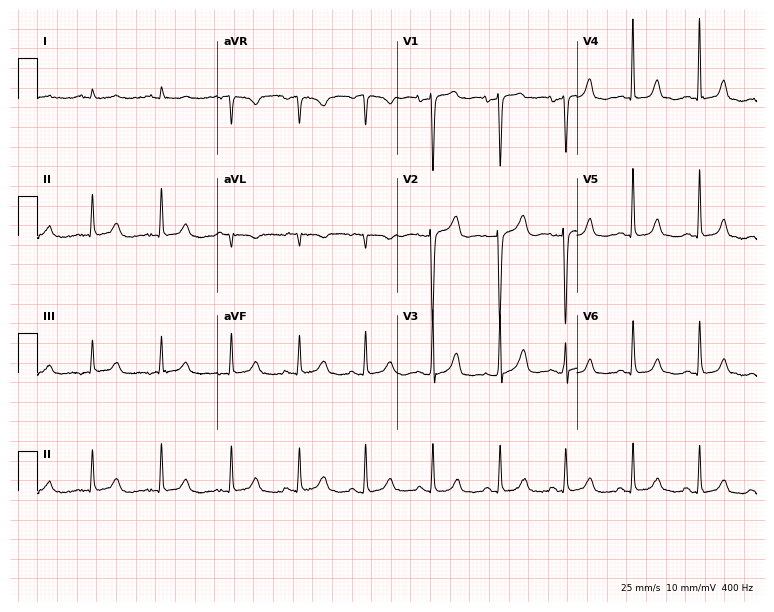
Resting 12-lead electrocardiogram. Patient: an 82-year-old man. Read as a normal ECG.